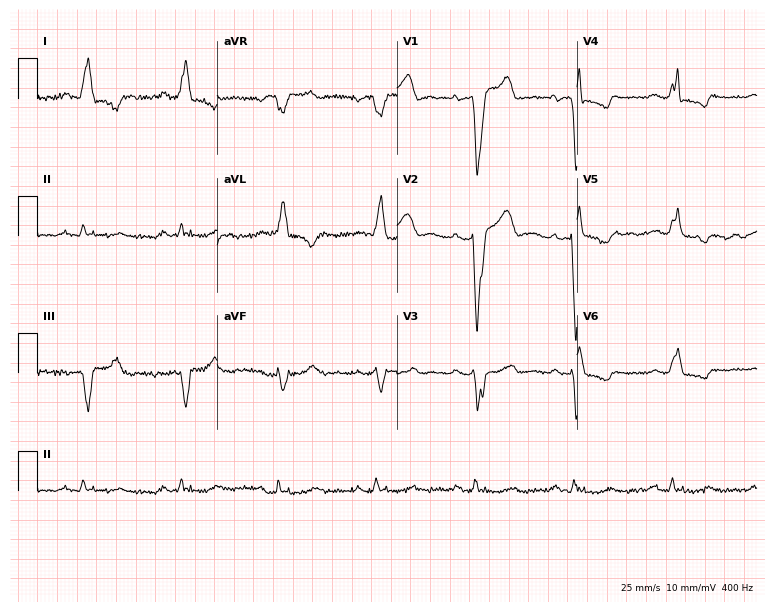
12-lead ECG from a man, 79 years old (7.3-second recording at 400 Hz). Shows left bundle branch block.